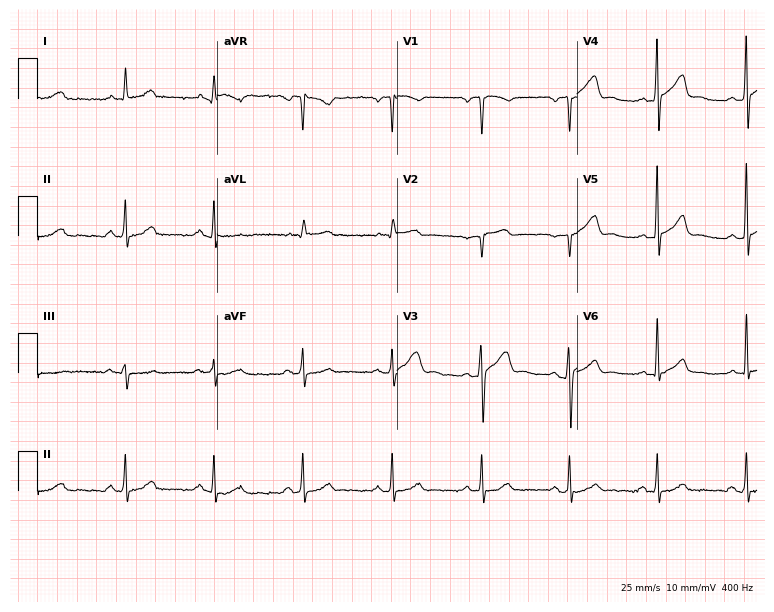
Electrocardiogram, a 49-year-old man. Overall reading on record: normal ECG.